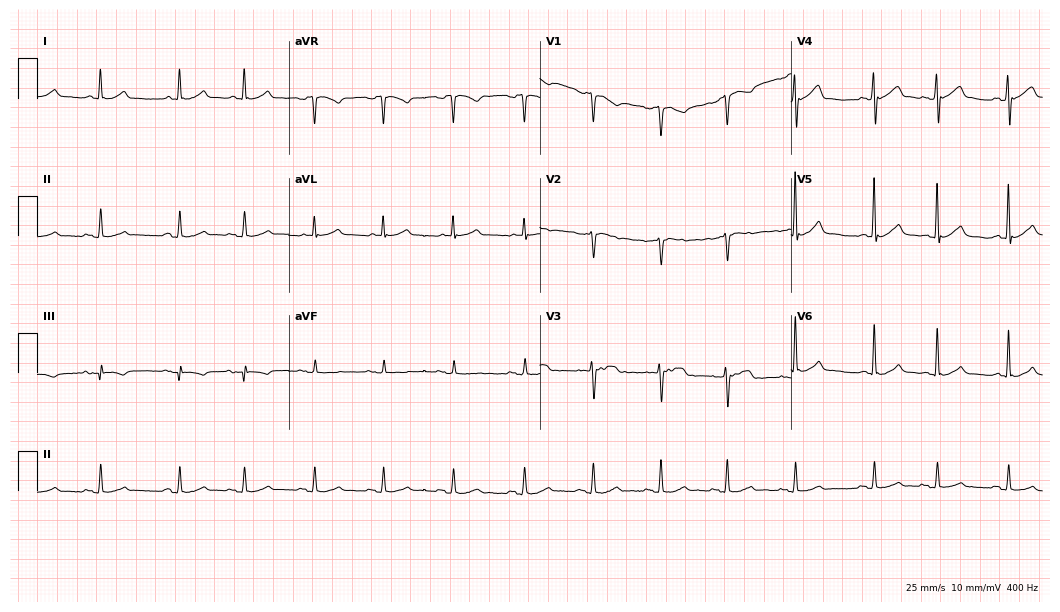
12-lead ECG from an 85-year-old female. No first-degree AV block, right bundle branch block (RBBB), left bundle branch block (LBBB), sinus bradycardia, atrial fibrillation (AF) or sinus tachycardia recorded for this tracing. Other findings, if any, are not listed.